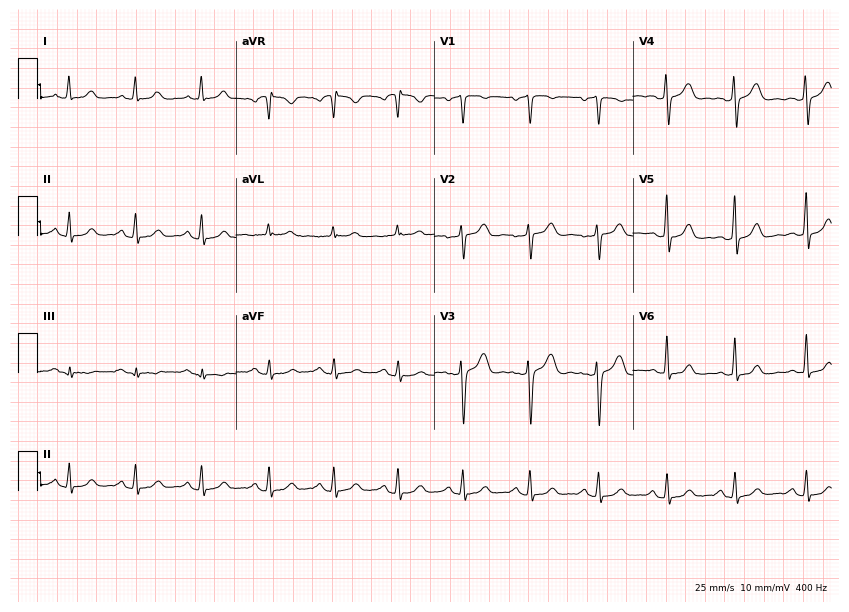
ECG — a female patient, 36 years old. Screened for six findings — first-degree AV block, right bundle branch block, left bundle branch block, sinus bradycardia, atrial fibrillation, sinus tachycardia — none is recorded.